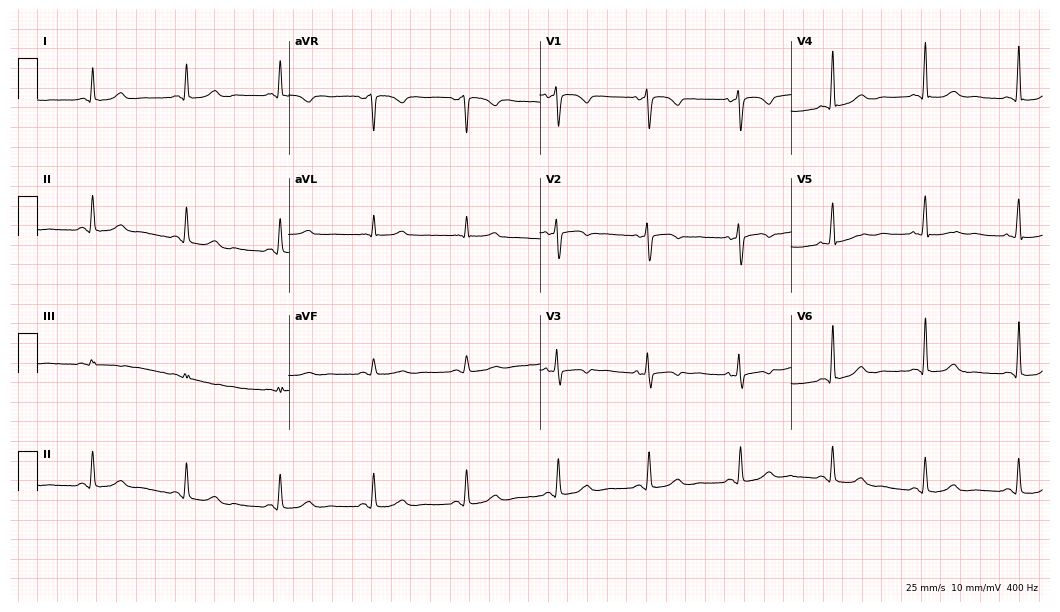
Resting 12-lead electrocardiogram. Patient: a woman, 52 years old. Read as a normal ECG.